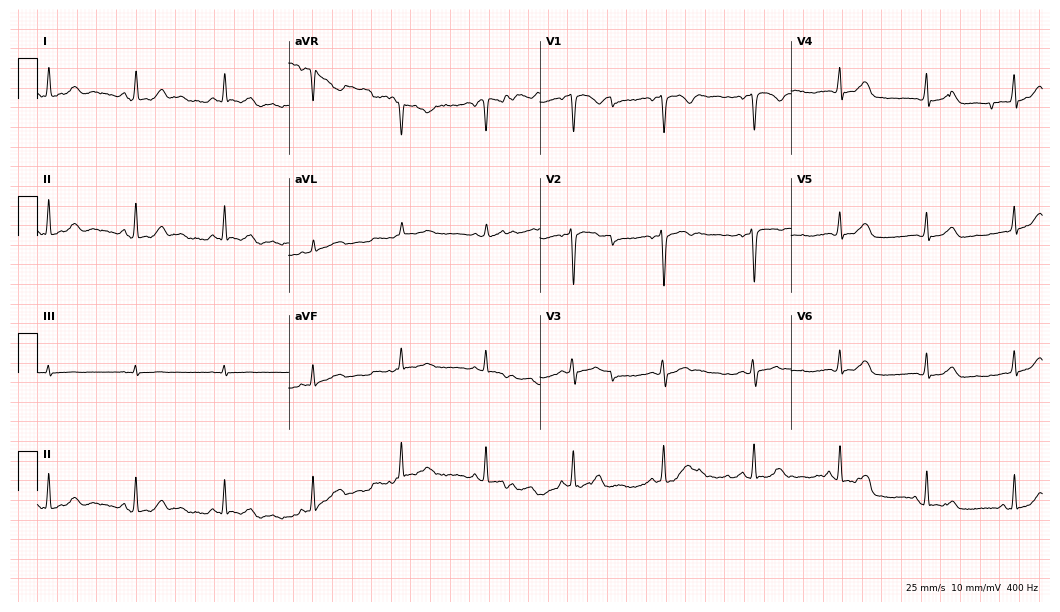
Standard 12-lead ECG recorded from a female, 22 years old. None of these six findings is recorded: first-degree AV block, right bundle branch block, left bundle branch block, sinus bradycardia, atrial fibrillation, sinus tachycardia. Only these six findings were labelled.